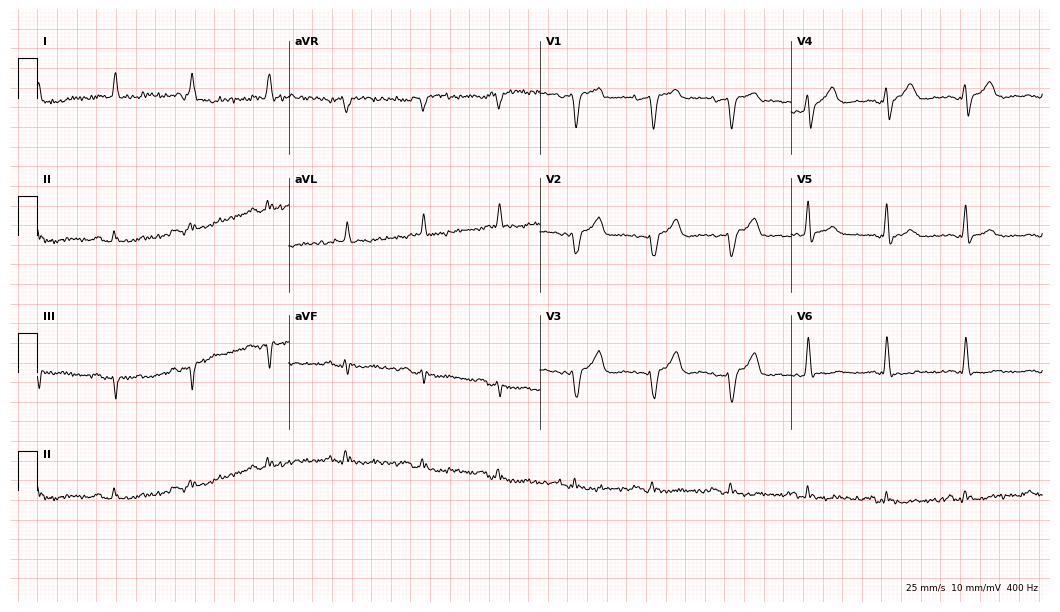
ECG (10.2-second recording at 400 Hz) — a man, 73 years old. Screened for six findings — first-degree AV block, right bundle branch block, left bundle branch block, sinus bradycardia, atrial fibrillation, sinus tachycardia — none is recorded. Other findings, if any, are not listed.